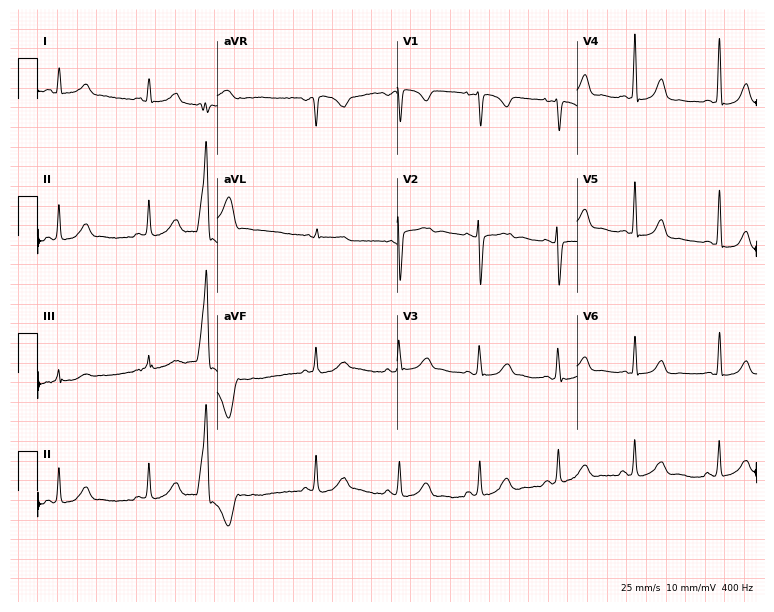
Electrocardiogram, a 26-year-old female patient. Of the six screened findings (first-degree AV block, right bundle branch block, left bundle branch block, sinus bradycardia, atrial fibrillation, sinus tachycardia), none is recorded. Findings outside these six are not listed.